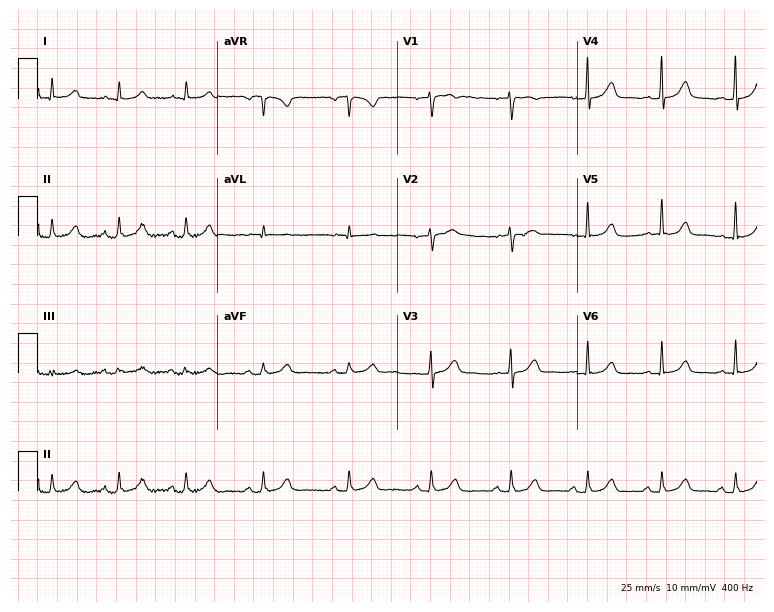
12-lead ECG (7.3-second recording at 400 Hz) from a 45-year-old female patient. Screened for six findings — first-degree AV block, right bundle branch block (RBBB), left bundle branch block (LBBB), sinus bradycardia, atrial fibrillation (AF), sinus tachycardia — none is recorded. Only these six findings were labelled.